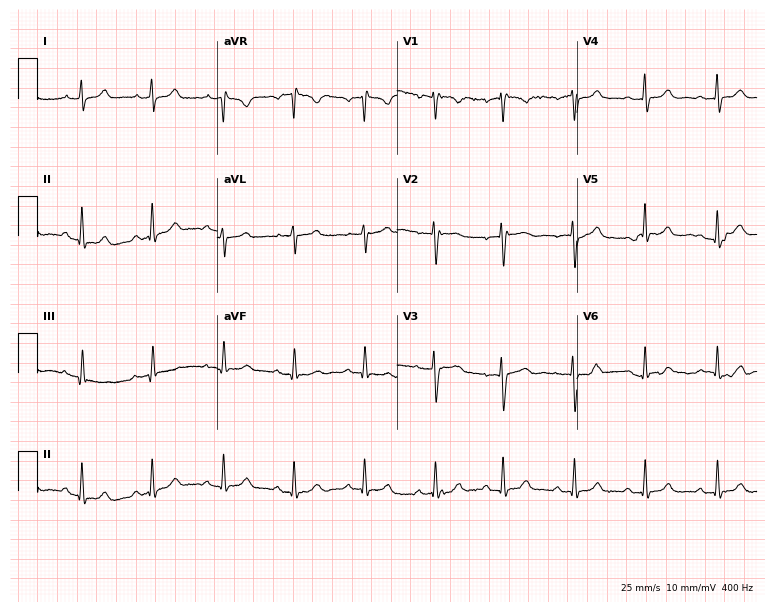
12-lead ECG (7.3-second recording at 400 Hz) from a 23-year-old female. Labelled as a normal ECG.